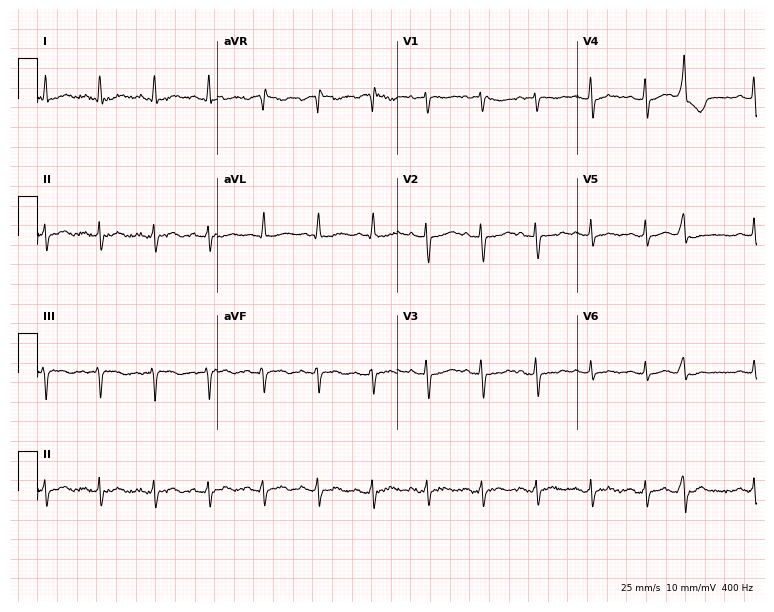
Resting 12-lead electrocardiogram (7.3-second recording at 400 Hz). Patient: a 55-year-old man. None of these six findings is recorded: first-degree AV block, right bundle branch block, left bundle branch block, sinus bradycardia, atrial fibrillation, sinus tachycardia.